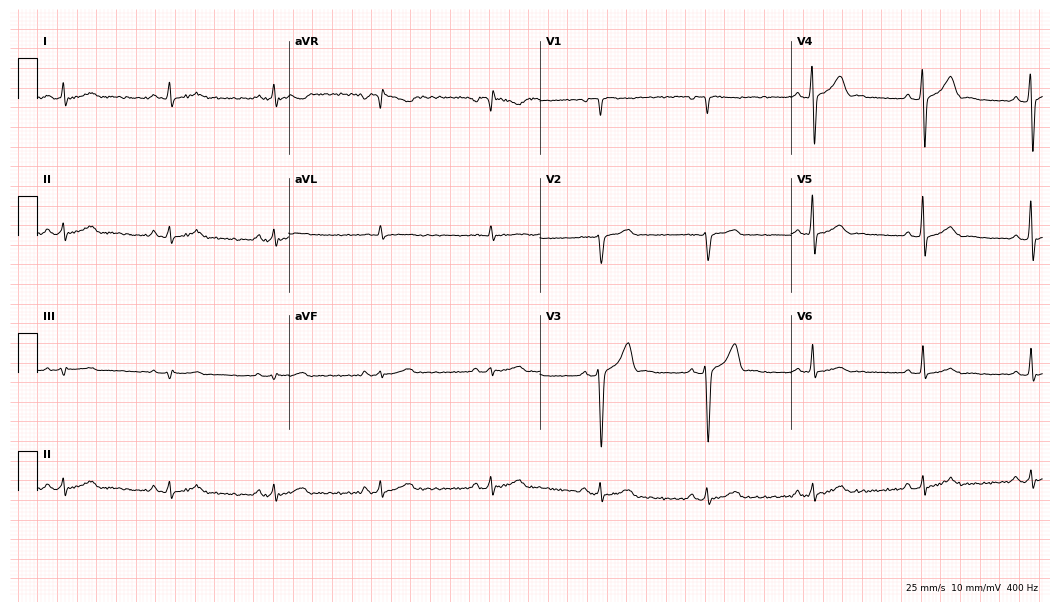
Electrocardiogram (10.2-second recording at 400 Hz), a male, 45 years old. Of the six screened findings (first-degree AV block, right bundle branch block, left bundle branch block, sinus bradycardia, atrial fibrillation, sinus tachycardia), none is recorded.